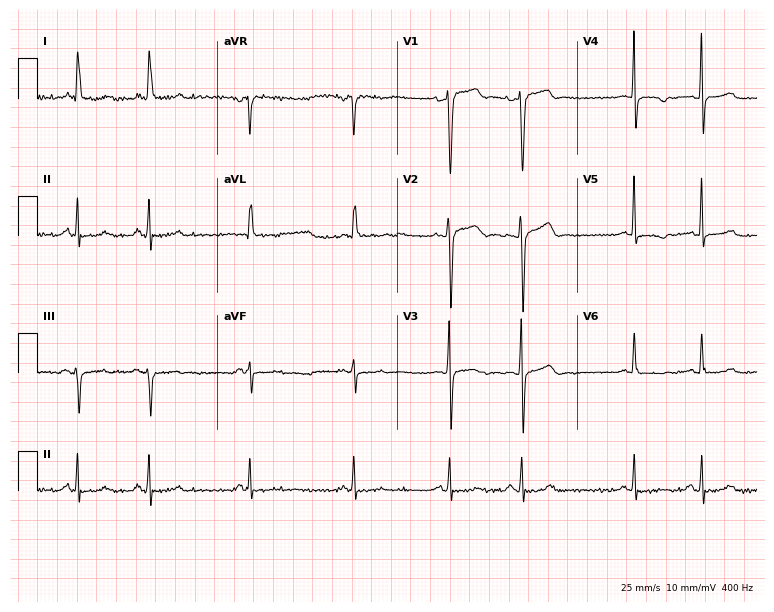
Electrocardiogram (7.3-second recording at 400 Hz), a female patient, 77 years old. Overall reading on record: normal ECG.